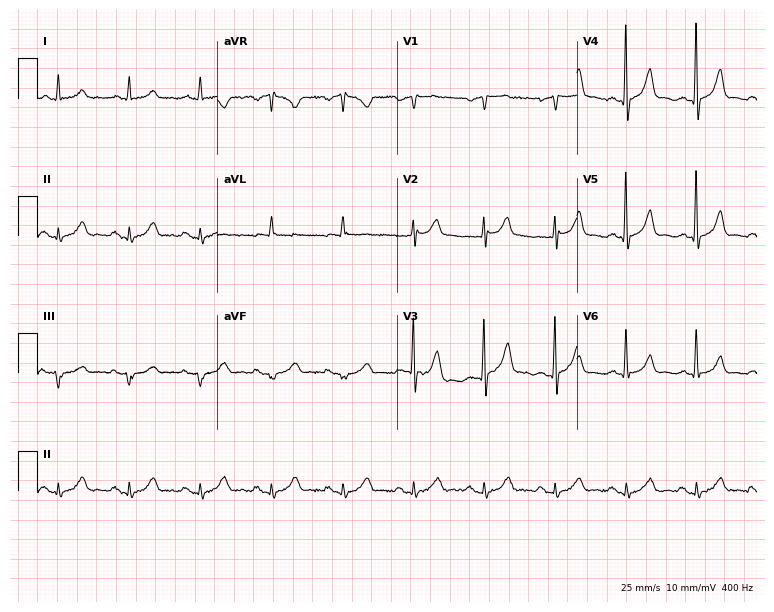
Standard 12-lead ECG recorded from a male patient, 65 years old. Read as a normal ECG.